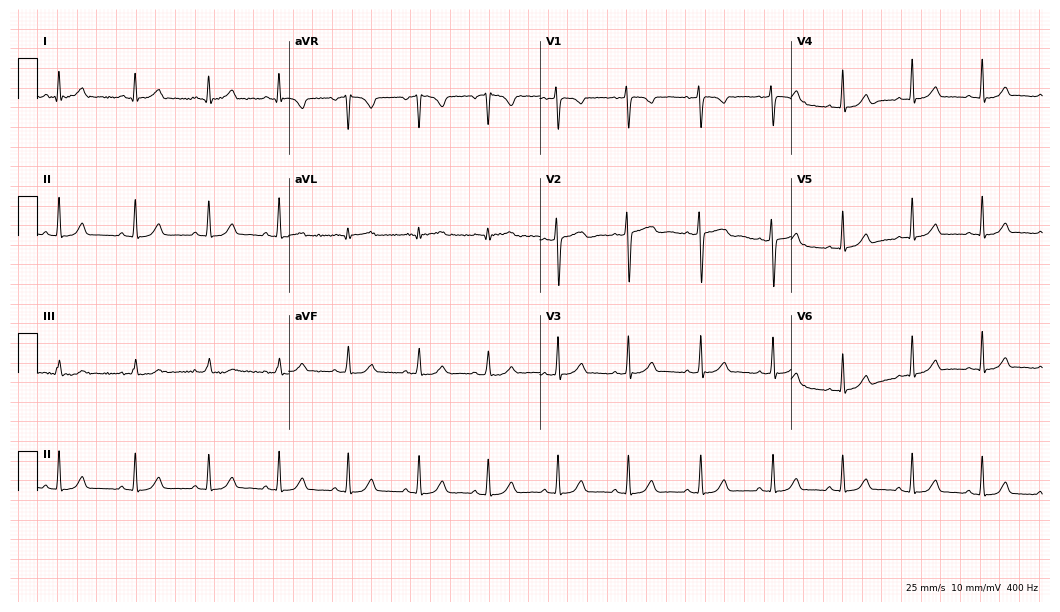
12-lead ECG from a 27-year-old woman. Recorded interpretation: within normal limits.